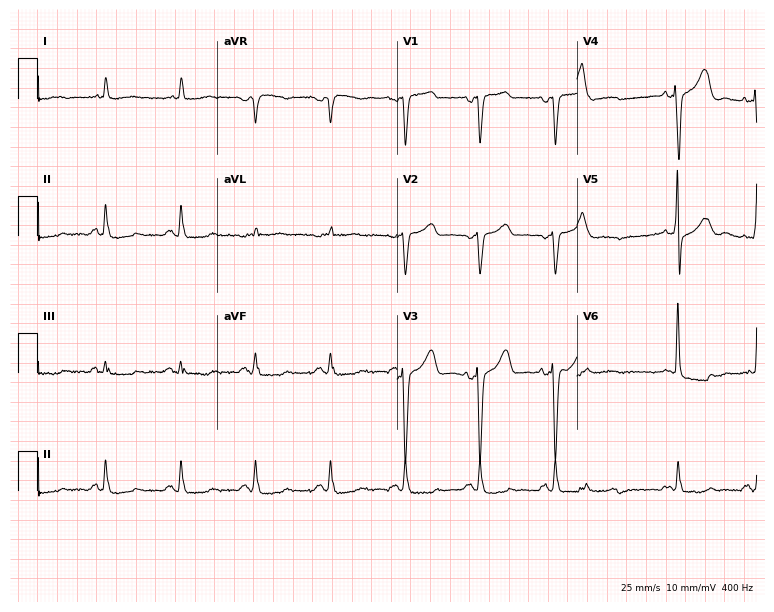
12-lead ECG from a man, 82 years old. No first-degree AV block, right bundle branch block, left bundle branch block, sinus bradycardia, atrial fibrillation or sinus tachycardia recorded for this tracing. Other findings, if any, are not listed.